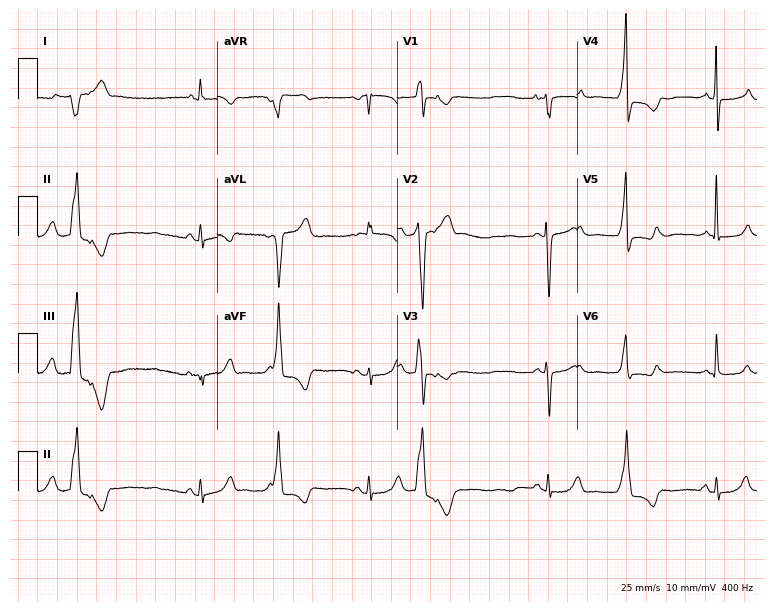
Standard 12-lead ECG recorded from a woman, 43 years old (7.3-second recording at 400 Hz). None of these six findings is recorded: first-degree AV block, right bundle branch block (RBBB), left bundle branch block (LBBB), sinus bradycardia, atrial fibrillation (AF), sinus tachycardia.